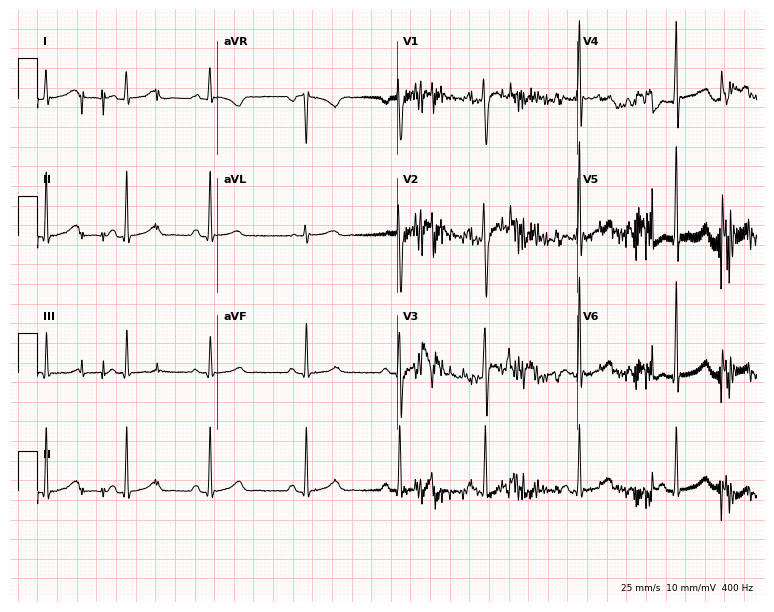
ECG — a female, 37 years old. Labelled as a normal ECG.